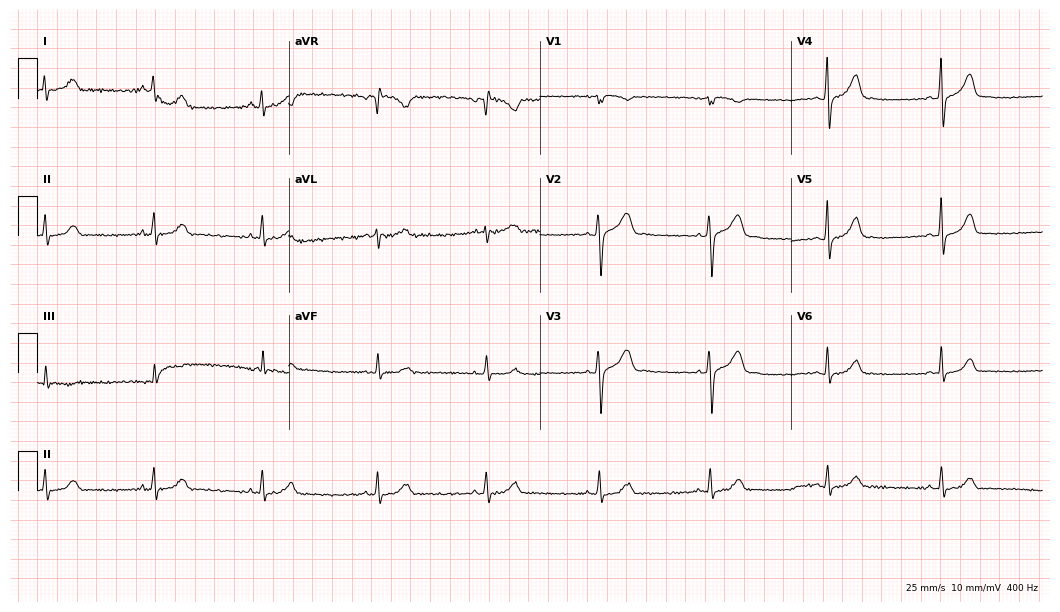
Resting 12-lead electrocardiogram. Patient: a woman, 26 years old. None of these six findings is recorded: first-degree AV block, right bundle branch block (RBBB), left bundle branch block (LBBB), sinus bradycardia, atrial fibrillation (AF), sinus tachycardia. Only these six findings were labelled.